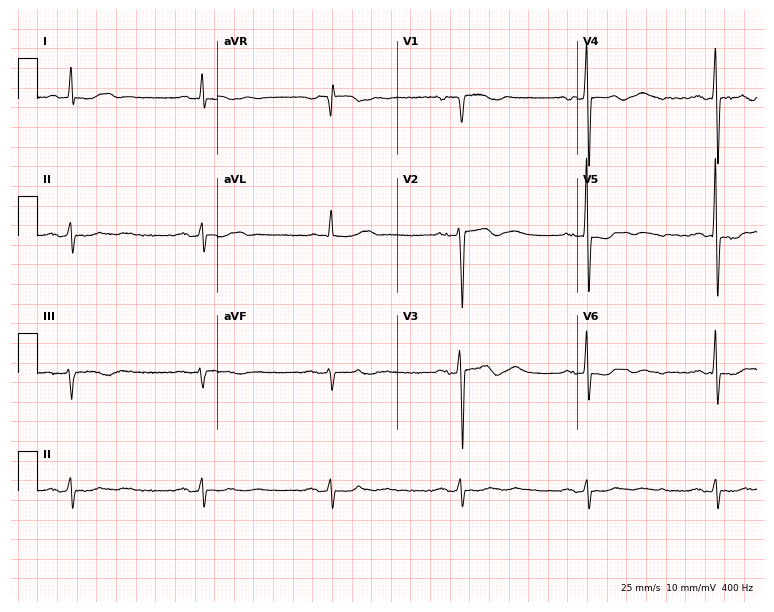
Resting 12-lead electrocardiogram. Patient: a male, 73 years old. The tracing shows sinus bradycardia (a sinus rate of 50 beats per minute or less).